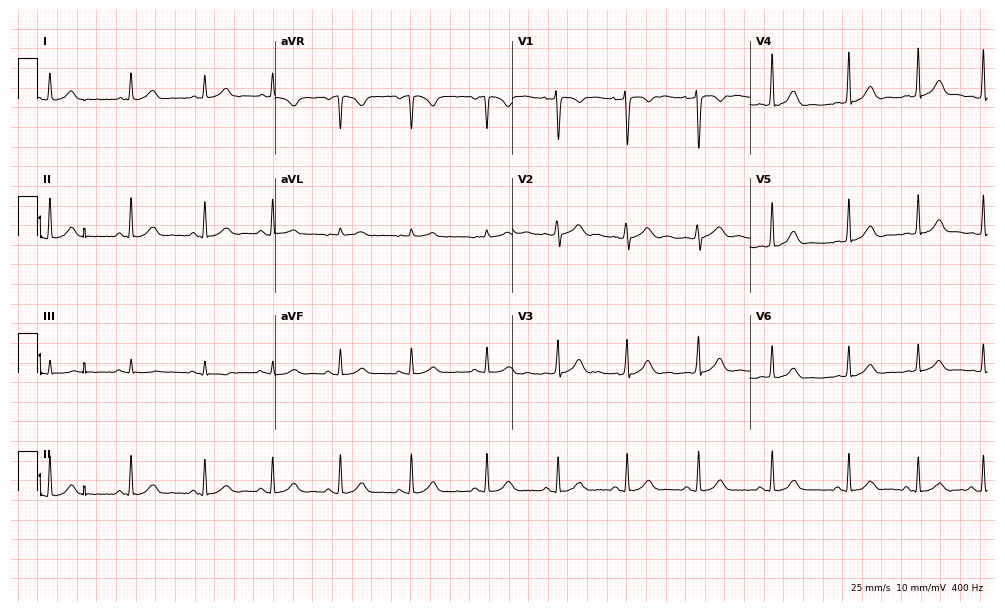
Standard 12-lead ECG recorded from a 32-year-old female (9.7-second recording at 400 Hz). Read as a normal ECG.